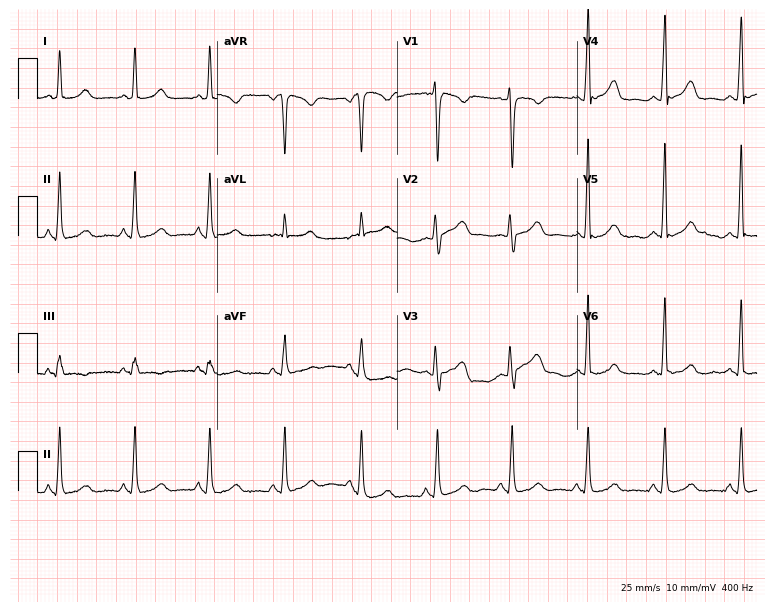
ECG — a 36-year-old woman. Screened for six findings — first-degree AV block, right bundle branch block, left bundle branch block, sinus bradycardia, atrial fibrillation, sinus tachycardia — none is recorded.